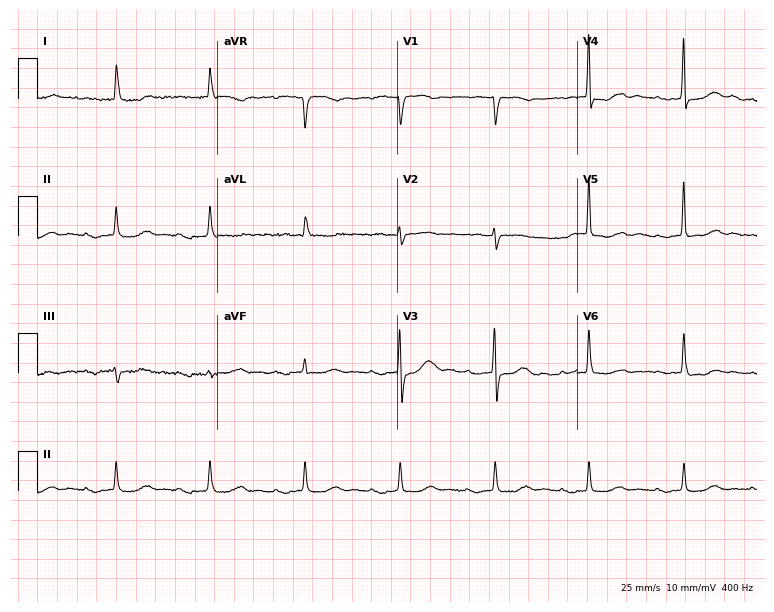
ECG (7.3-second recording at 400 Hz) — a 73-year-old woman. Findings include first-degree AV block.